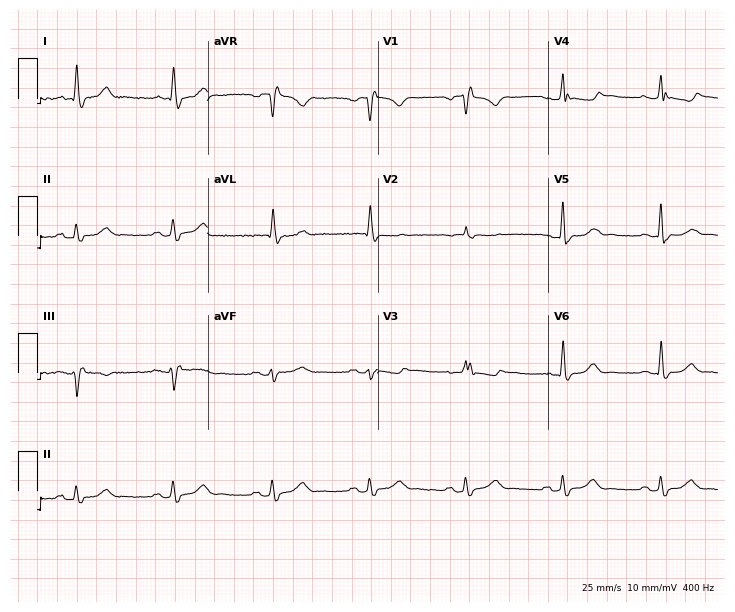
12-lead ECG from a woman, 58 years old. No first-degree AV block, right bundle branch block, left bundle branch block, sinus bradycardia, atrial fibrillation or sinus tachycardia recorded for this tracing.